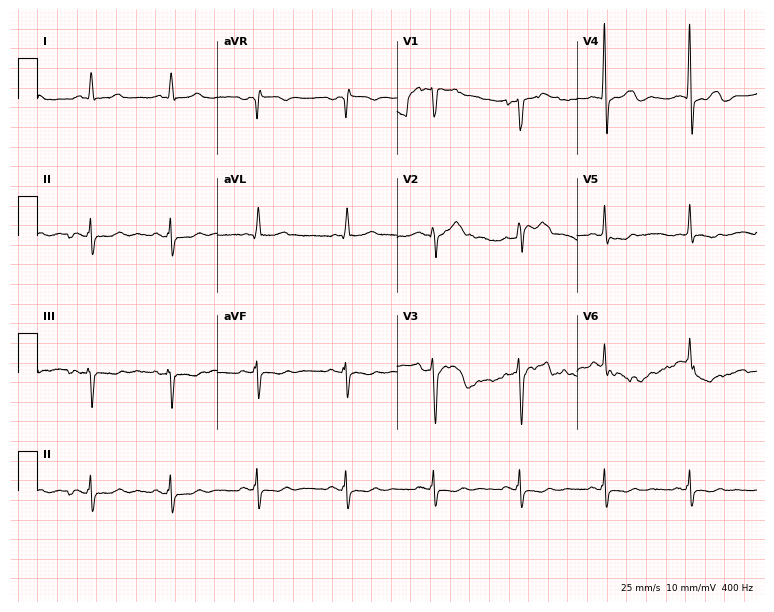
Resting 12-lead electrocardiogram. Patient: a 55-year-old woman. None of these six findings is recorded: first-degree AV block, right bundle branch block, left bundle branch block, sinus bradycardia, atrial fibrillation, sinus tachycardia.